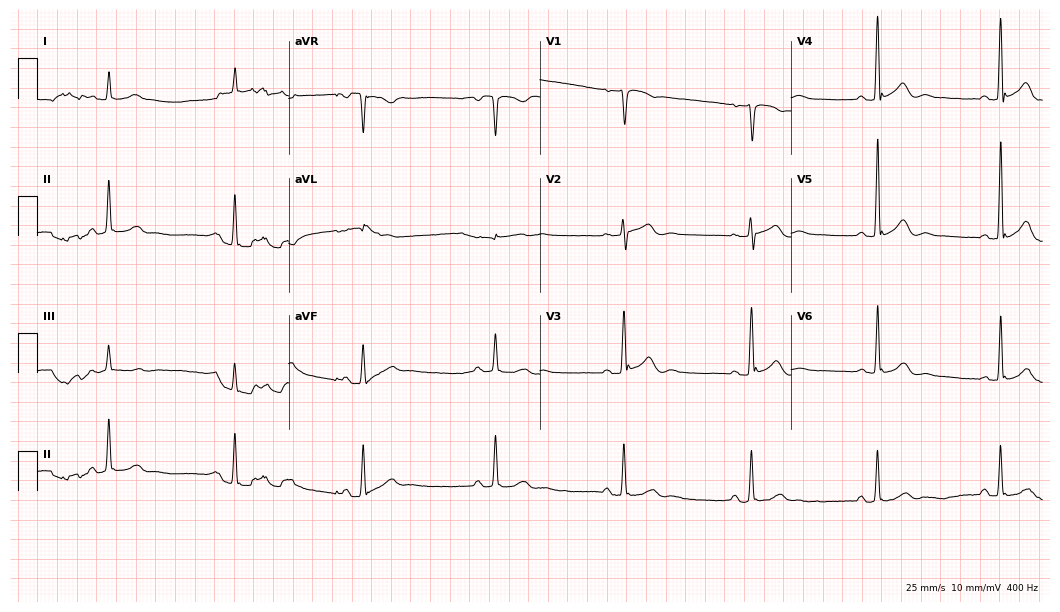
12-lead ECG (10.2-second recording at 400 Hz) from a 63-year-old man. Findings include sinus bradycardia (a sinus rate of 50 beats per minute or less).